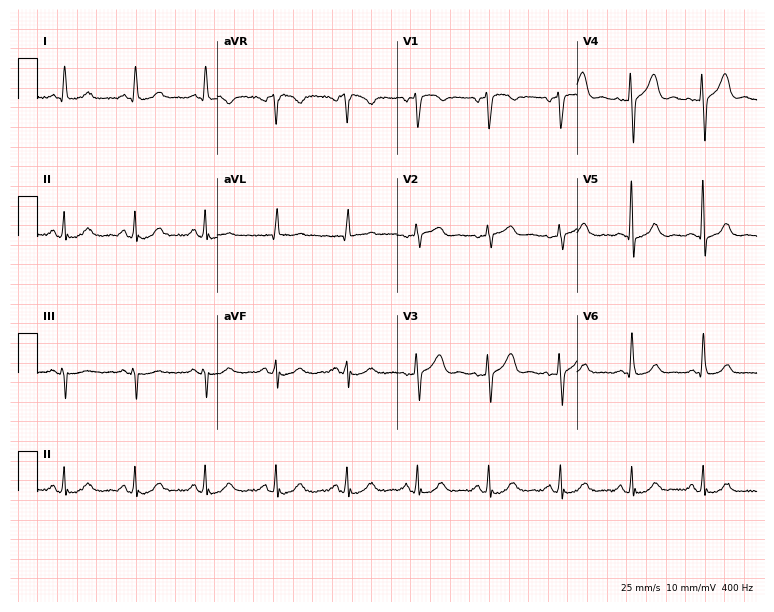
Resting 12-lead electrocardiogram. Patient: a 60-year-old female. Read as a normal ECG.